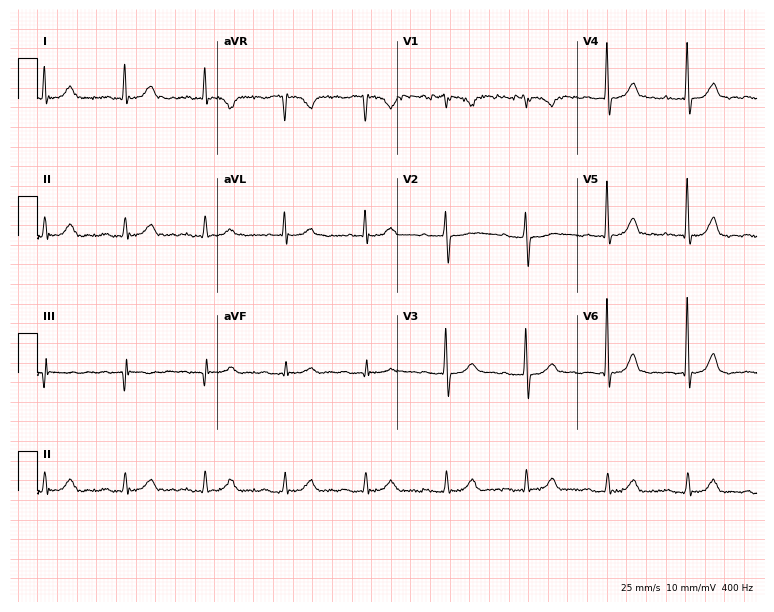
12-lead ECG from a 69-year-old male patient. No first-degree AV block, right bundle branch block, left bundle branch block, sinus bradycardia, atrial fibrillation or sinus tachycardia recorded for this tracing. Findings outside these six are not listed.